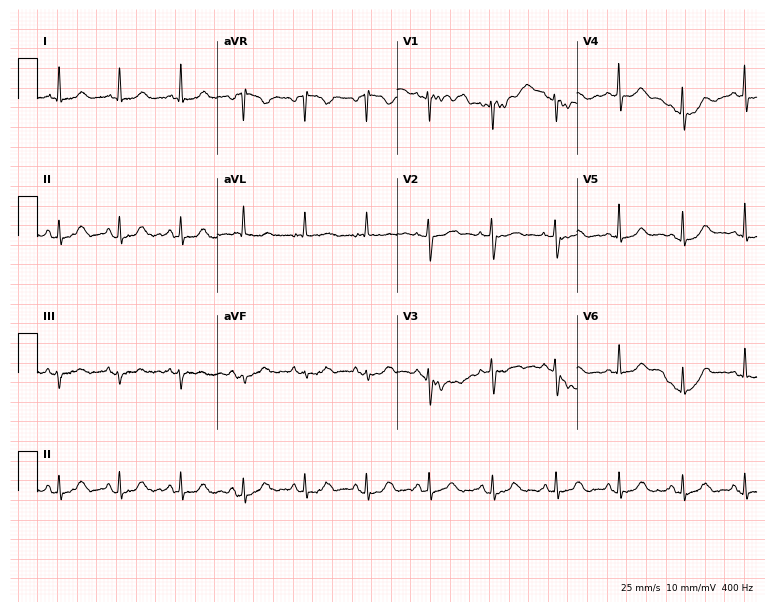
Resting 12-lead electrocardiogram. Patient: a female, 69 years old. None of these six findings is recorded: first-degree AV block, right bundle branch block, left bundle branch block, sinus bradycardia, atrial fibrillation, sinus tachycardia. Findings outside these six are not listed.